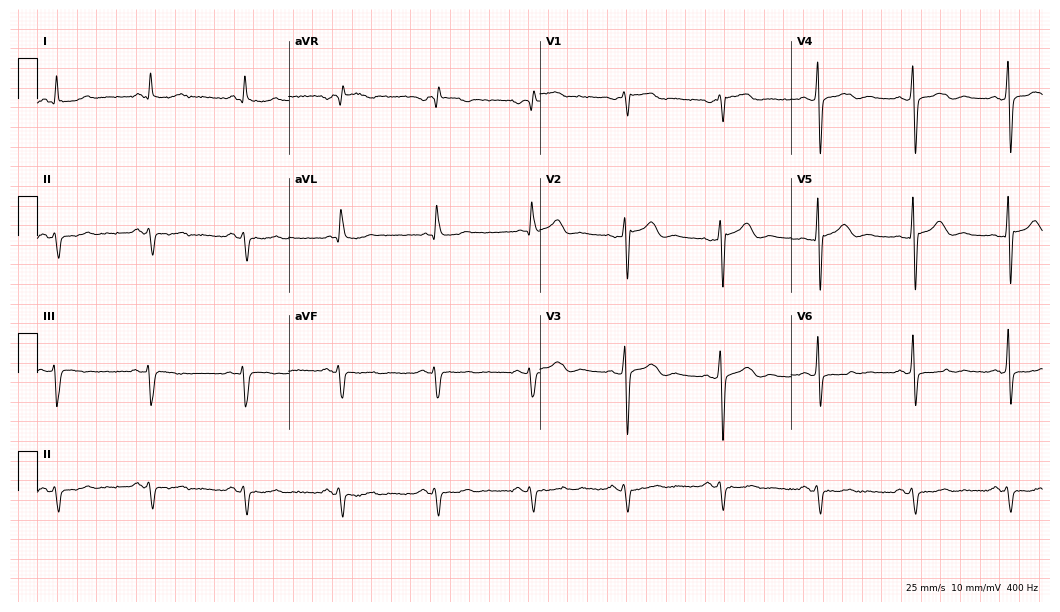
ECG (10.2-second recording at 400 Hz) — a 74-year-old male. Screened for six findings — first-degree AV block, right bundle branch block, left bundle branch block, sinus bradycardia, atrial fibrillation, sinus tachycardia — none is recorded. Findings outside these six are not listed.